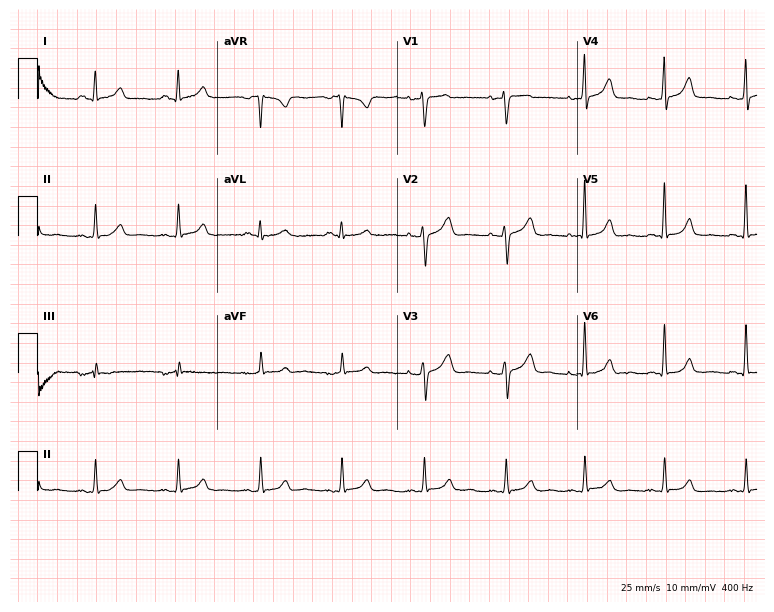
12-lead ECG from a female patient, 44 years old. No first-degree AV block, right bundle branch block, left bundle branch block, sinus bradycardia, atrial fibrillation or sinus tachycardia recorded for this tracing.